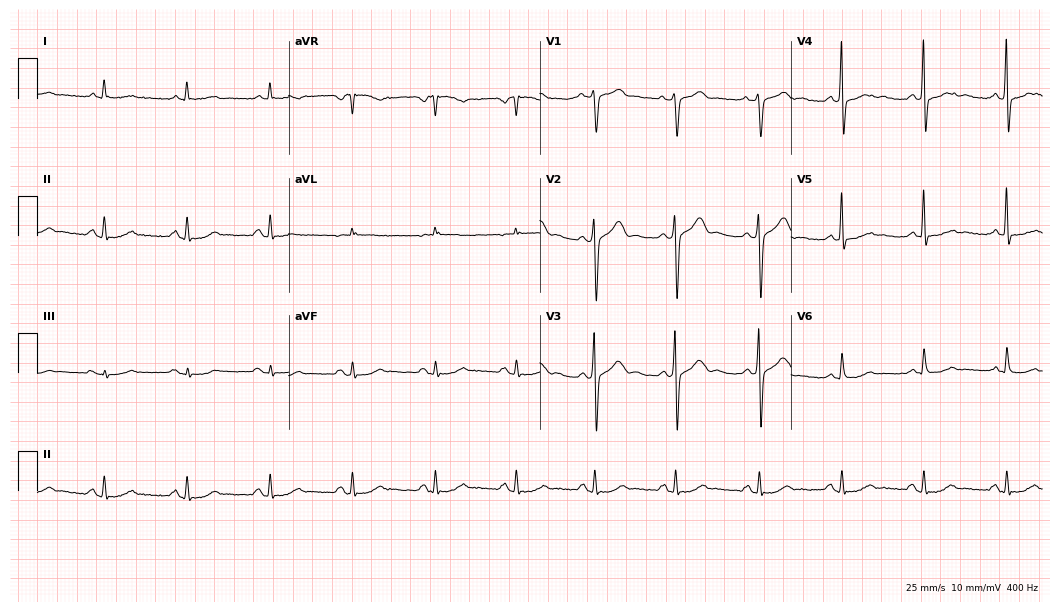
12-lead ECG from a male, 59 years old. Screened for six findings — first-degree AV block, right bundle branch block (RBBB), left bundle branch block (LBBB), sinus bradycardia, atrial fibrillation (AF), sinus tachycardia — none is recorded. Other findings, if any, are not listed.